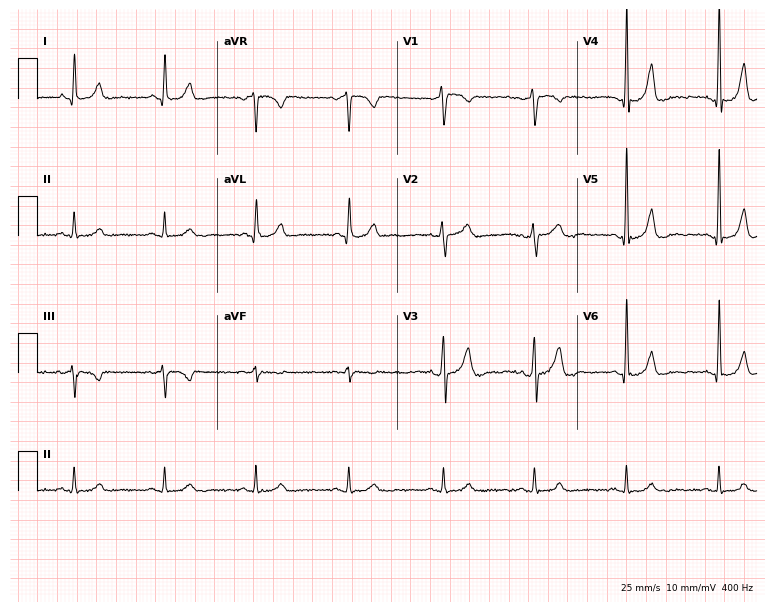
Resting 12-lead electrocardiogram. Patient: a male, 54 years old. Read as a normal ECG.